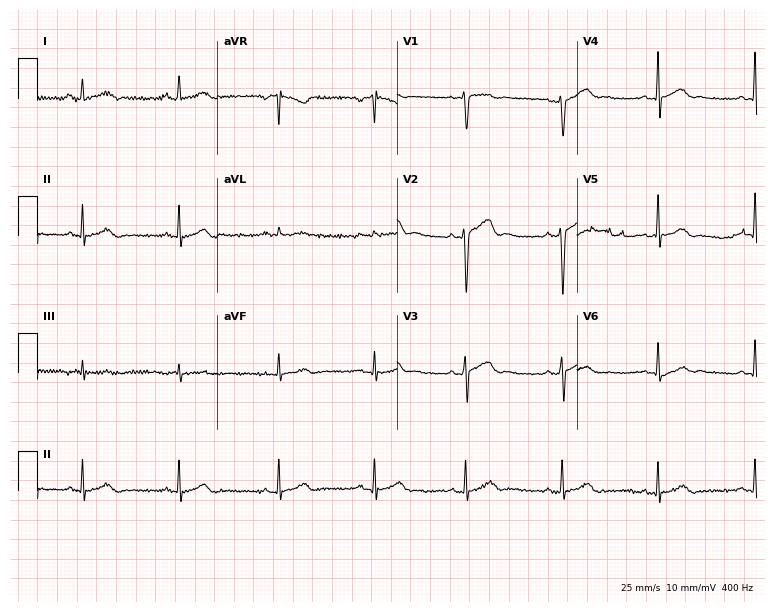
Standard 12-lead ECG recorded from a 25-year-old male. Read as a normal ECG.